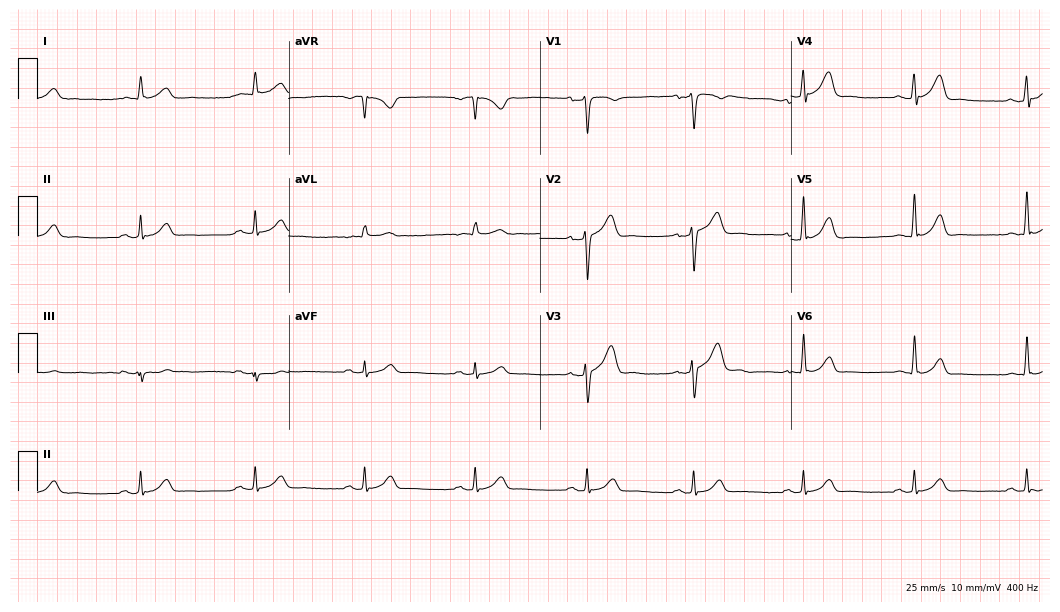
12-lead ECG from a male, 61 years old (10.2-second recording at 400 Hz). Recorded interpretation: within normal limits.